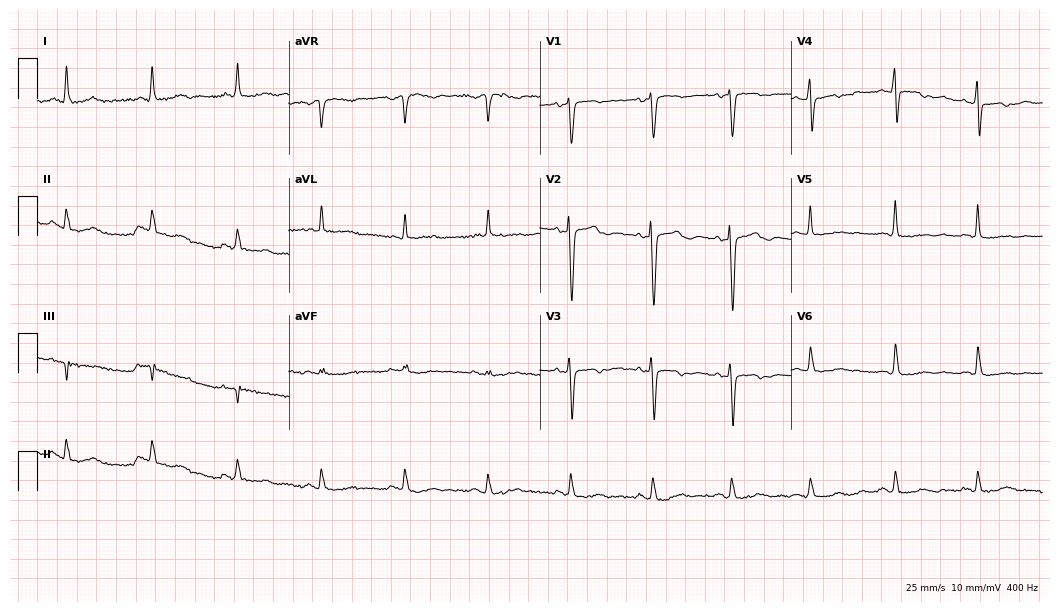
ECG — a female patient, 69 years old. Labelled as a normal ECG.